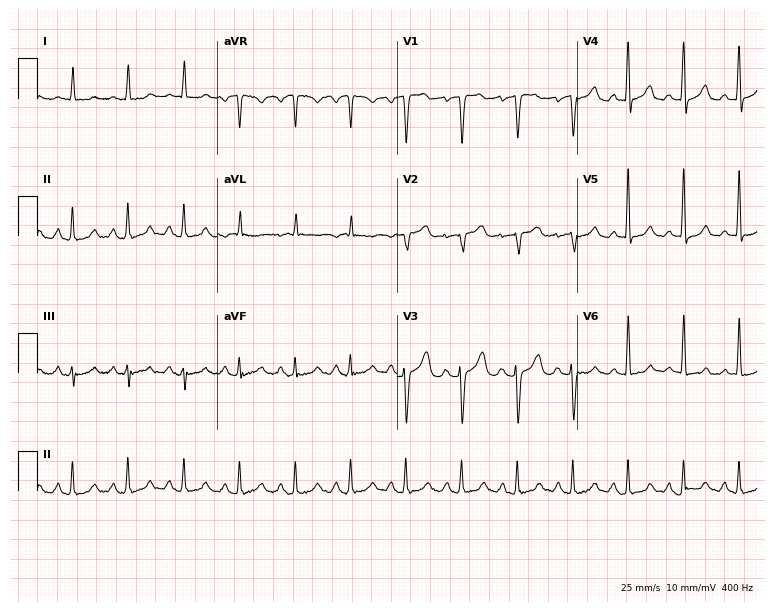
Standard 12-lead ECG recorded from a 70-year-old female patient. The tracing shows sinus tachycardia (a sinus rate of 100 beats per minute or more).